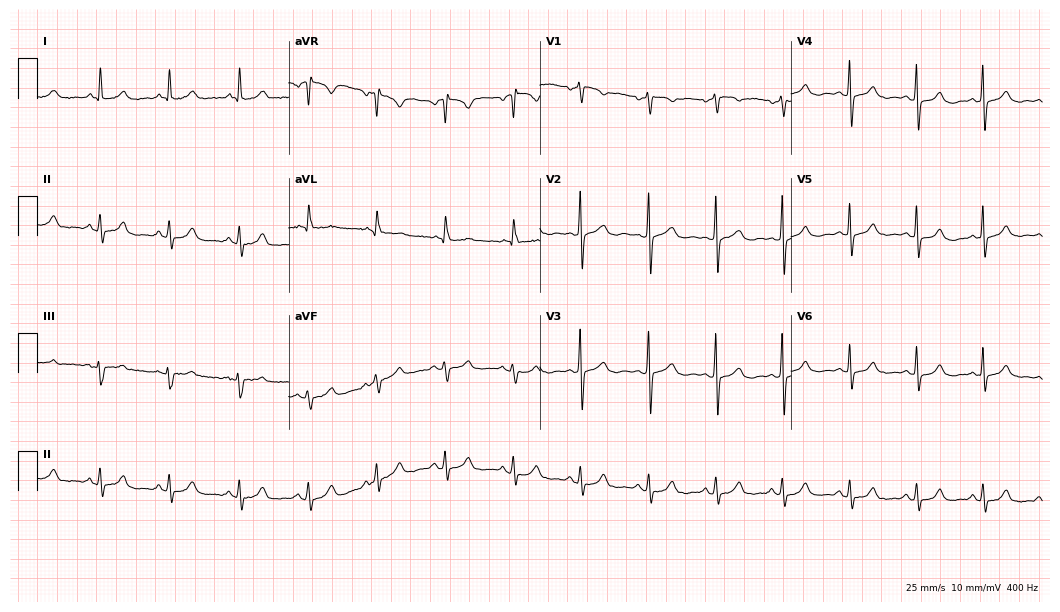
Electrocardiogram (10.2-second recording at 400 Hz), an 82-year-old female patient. Overall reading on record: normal ECG.